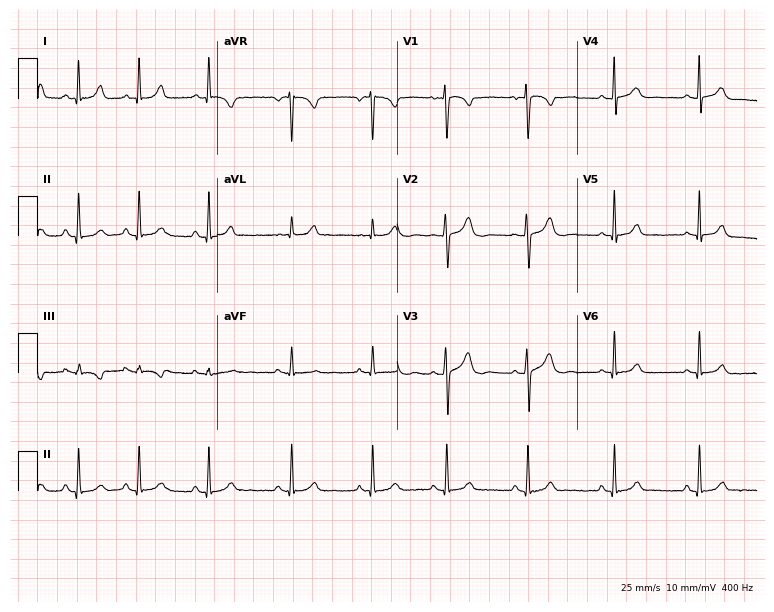
Resting 12-lead electrocardiogram (7.3-second recording at 400 Hz). Patient: an 18-year-old woman. Read as a normal ECG.